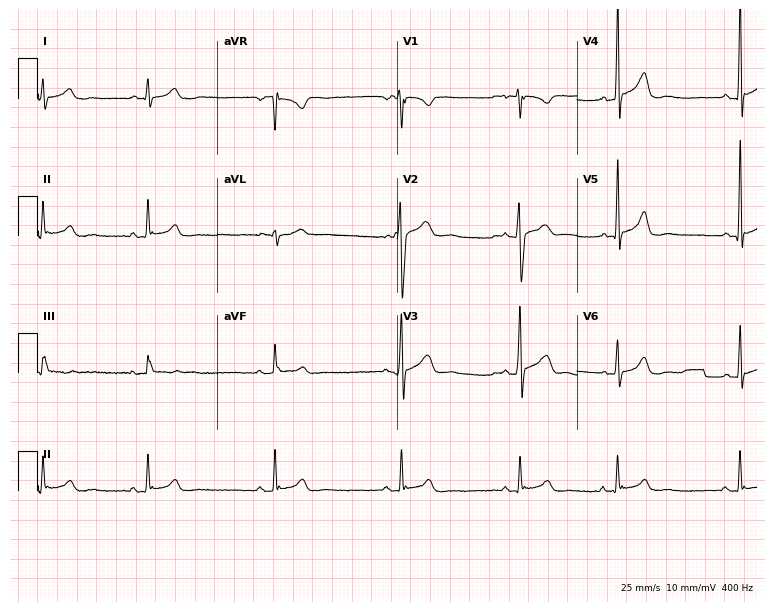
12-lead ECG from a male patient, 28 years old. Shows sinus bradycardia (a sinus rate of 50 beats per minute or less).